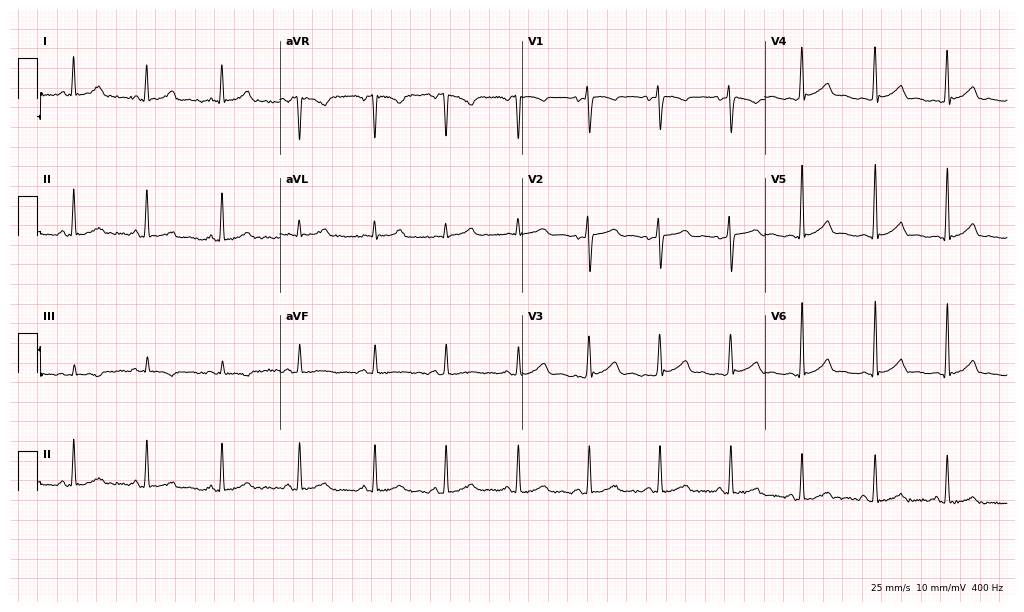
Resting 12-lead electrocardiogram (9.9-second recording at 400 Hz). Patient: a female, 32 years old. Read as a normal ECG.